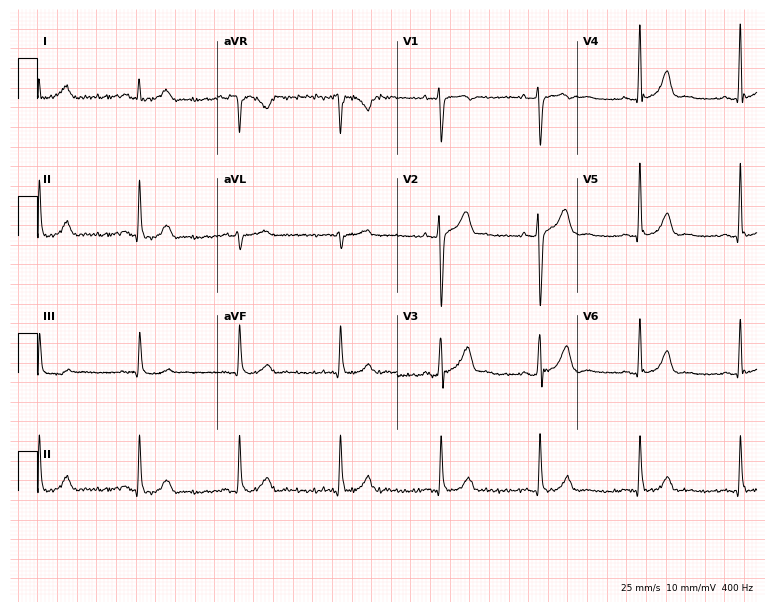
12-lead ECG from a man, 46 years old (7.3-second recording at 400 Hz). No first-degree AV block, right bundle branch block, left bundle branch block, sinus bradycardia, atrial fibrillation or sinus tachycardia recorded for this tracing. Findings outside these six are not listed.